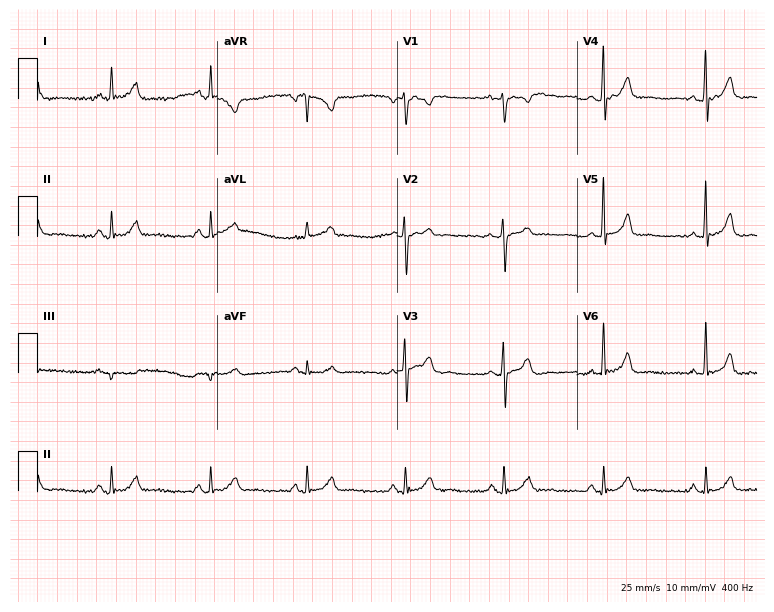
Resting 12-lead electrocardiogram. Patient: a 52-year-old female. None of these six findings is recorded: first-degree AV block, right bundle branch block, left bundle branch block, sinus bradycardia, atrial fibrillation, sinus tachycardia.